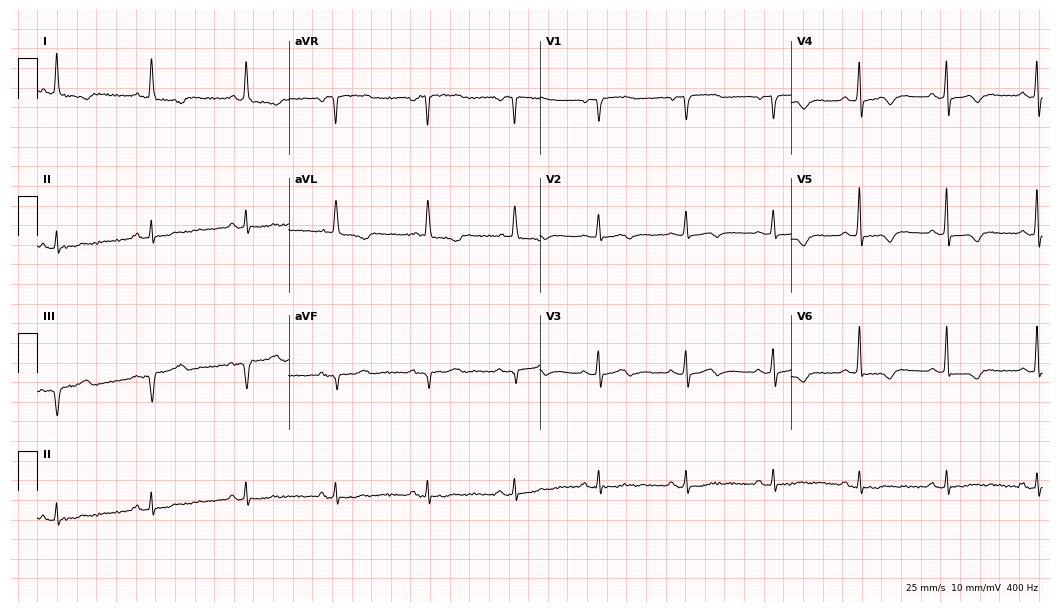
Electrocardiogram, a woman, 70 years old. Overall reading on record: normal ECG.